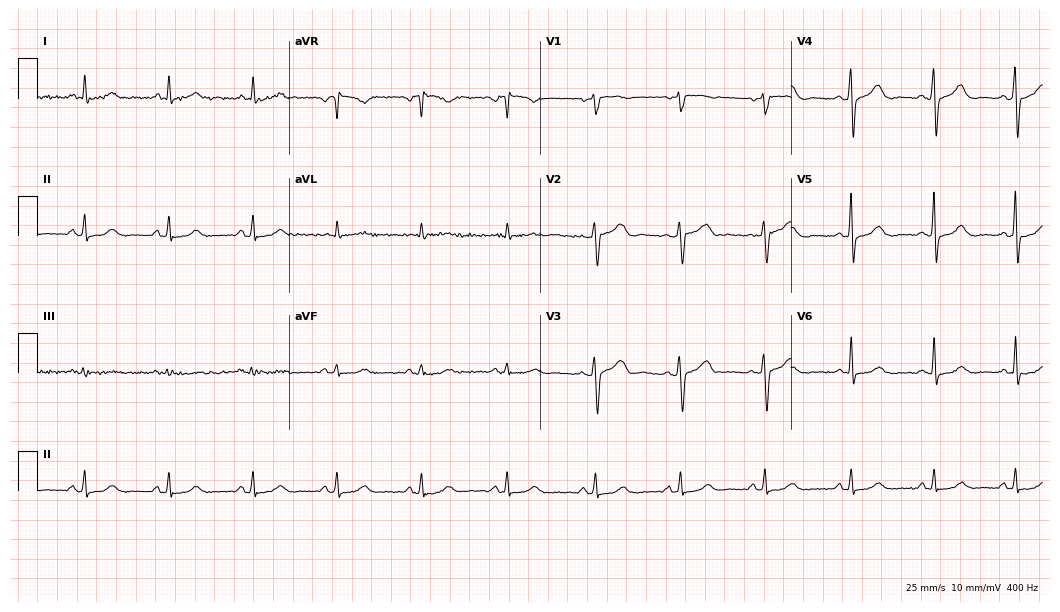
Electrocardiogram (10.2-second recording at 400 Hz), a woman, 51 years old. Overall reading on record: normal ECG.